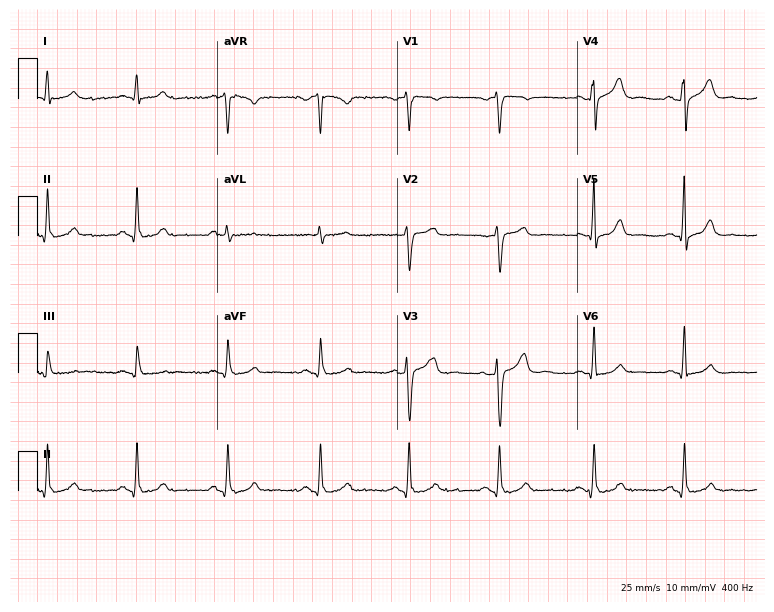
Standard 12-lead ECG recorded from a male, 51 years old (7.3-second recording at 400 Hz). Read as a normal ECG.